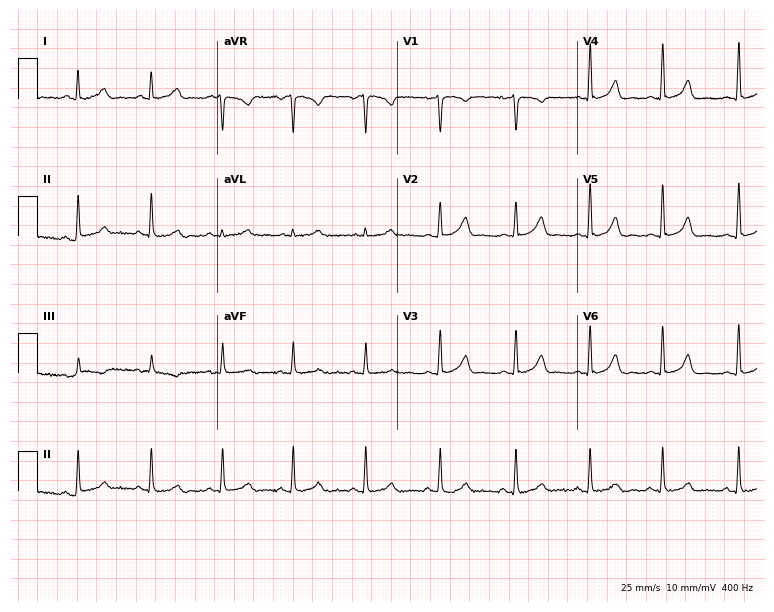
Electrocardiogram, a 34-year-old female. Overall reading on record: normal ECG.